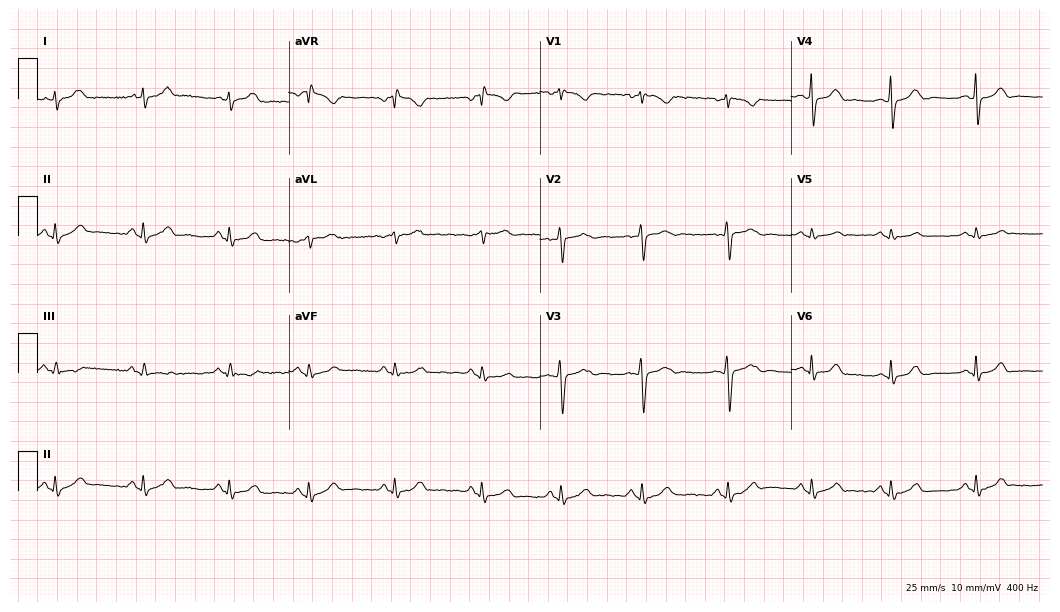
Electrocardiogram (10.2-second recording at 400 Hz), a woman, 21 years old. Of the six screened findings (first-degree AV block, right bundle branch block, left bundle branch block, sinus bradycardia, atrial fibrillation, sinus tachycardia), none is recorded.